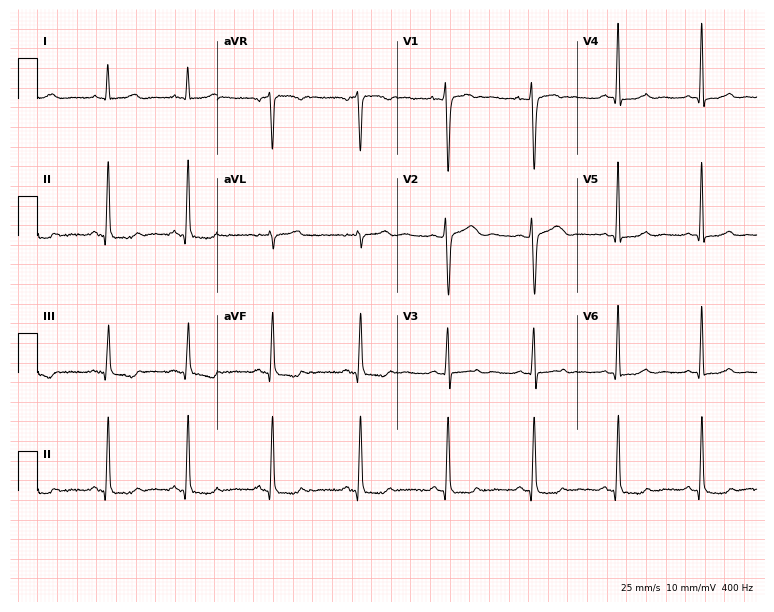
12-lead ECG (7.3-second recording at 400 Hz) from a woman, 36 years old. Screened for six findings — first-degree AV block, right bundle branch block, left bundle branch block, sinus bradycardia, atrial fibrillation, sinus tachycardia — none is recorded.